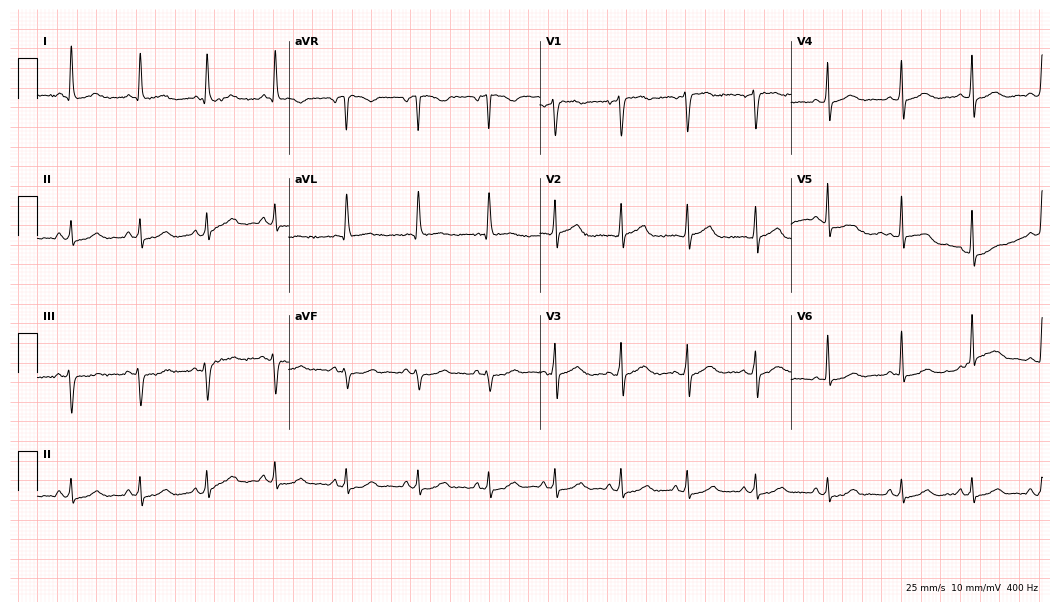
Resting 12-lead electrocardiogram (10.2-second recording at 400 Hz). Patient: a 42-year-old female. Read as a normal ECG.